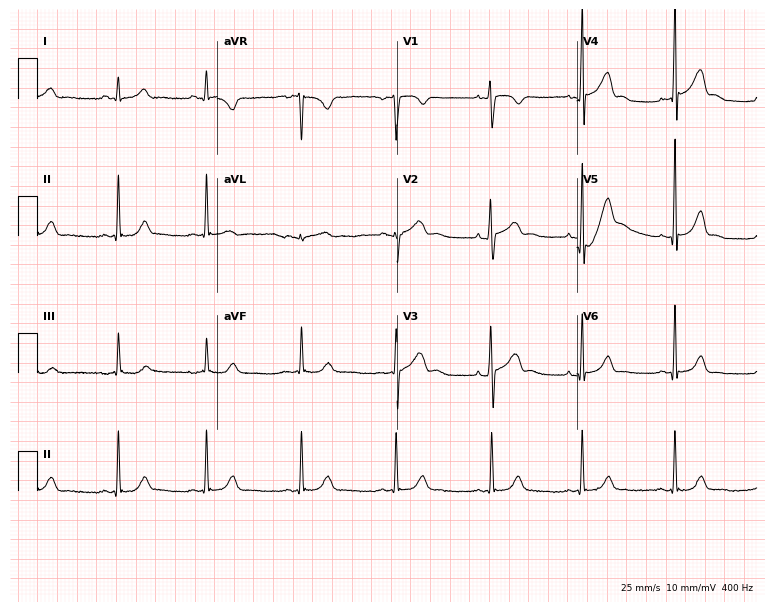
ECG (7.3-second recording at 400 Hz) — a male, 21 years old. Screened for six findings — first-degree AV block, right bundle branch block, left bundle branch block, sinus bradycardia, atrial fibrillation, sinus tachycardia — none is recorded.